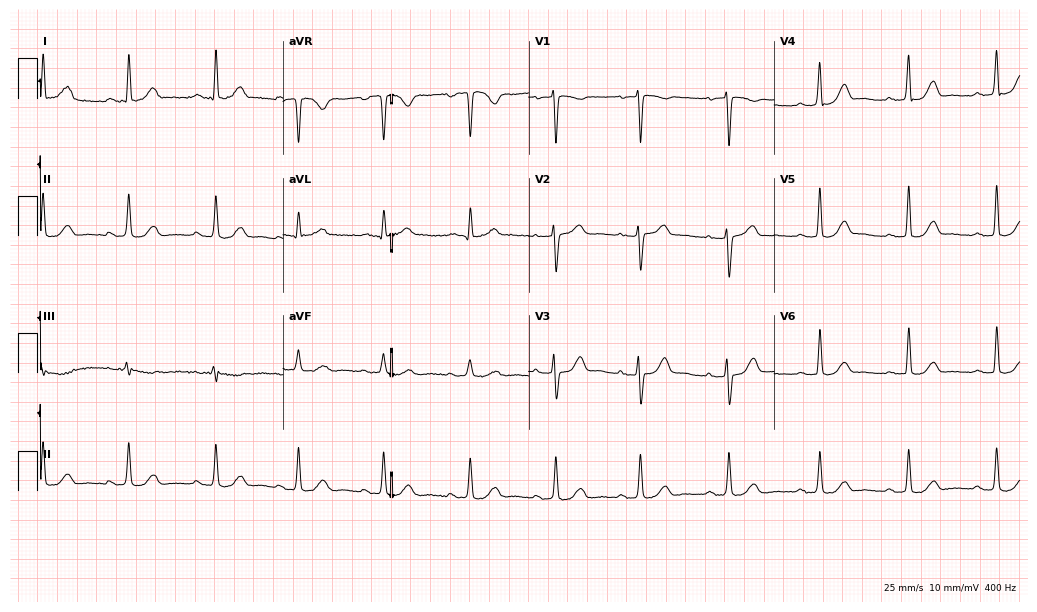
12-lead ECG from a female patient, 46 years old. Screened for six findings — first-degree AV block, right bundle branch block, left bundle branch block, sinus bradycardia, atrial fibrillation, sinus tachycardia — none is recorded.